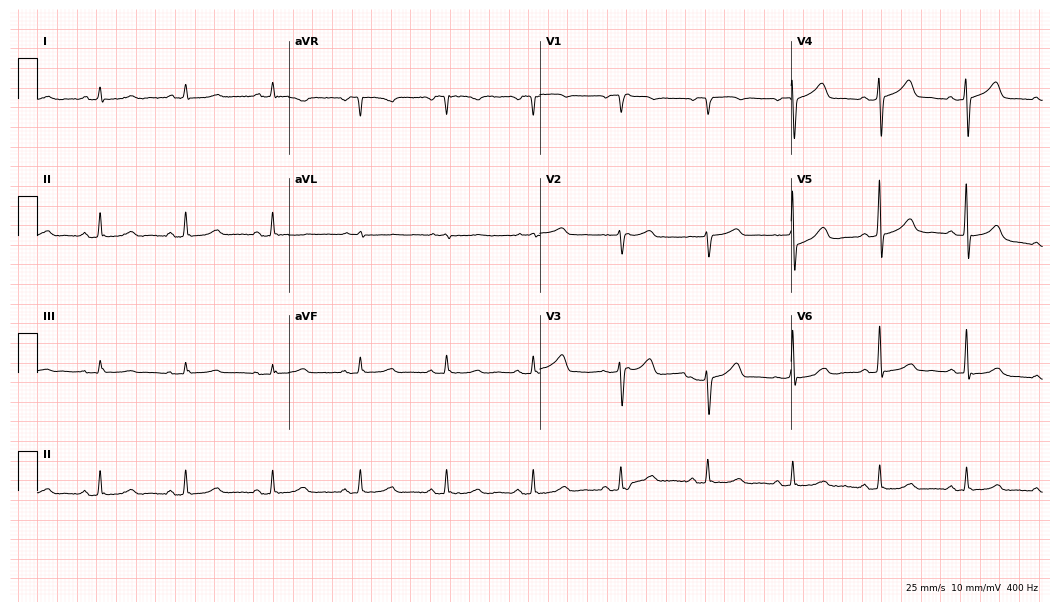
Electrocardiogram (10.2-second recording at 400 Hz), a 61-year-old woman. Overall reading on record: normal ECG.